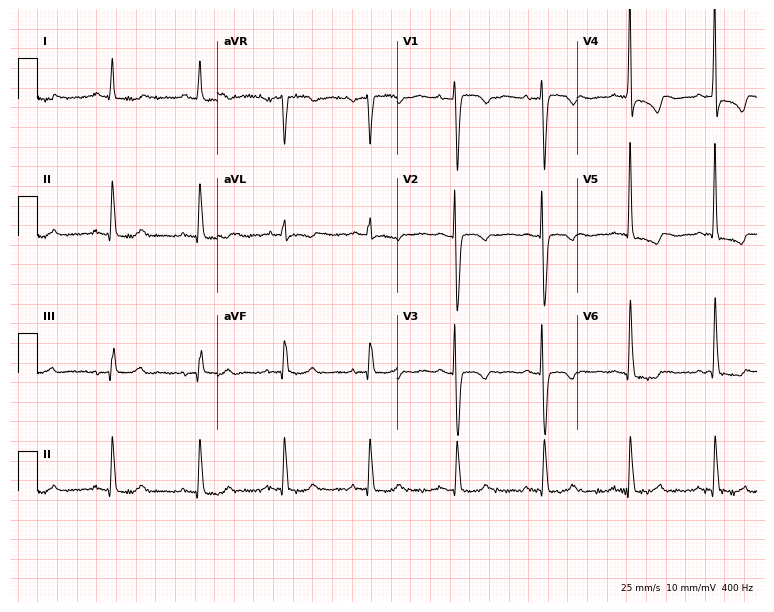
Standard 12-lead ECG recorded from a female patient, 40 years old. None of these six findings is recorded: first-degree AV block, right bundle branch block, left bundle branch block, sinus bradycardia, atrial fibrillation, sinus tachycardia. Findings outside these six are not listed.